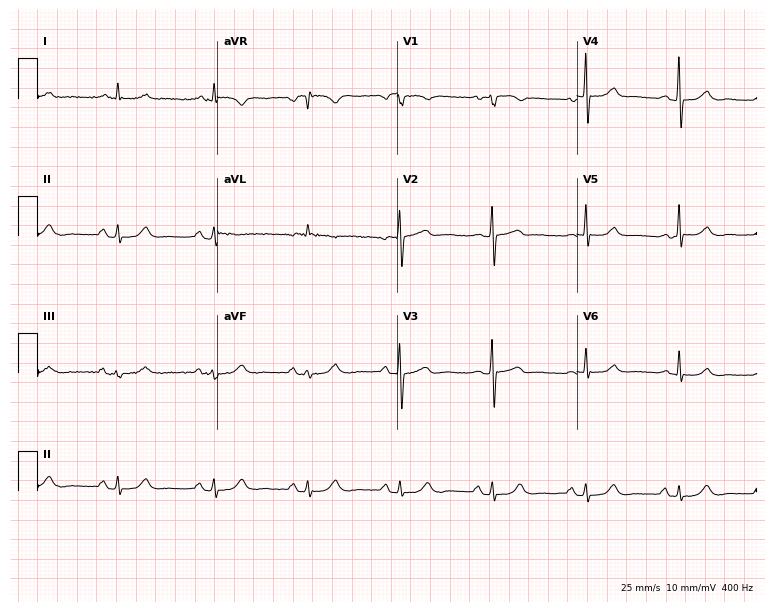
ECG — a 73-year-old male. Screened for six findings — first-degree AV block, right bundle branch block, left bundle branch block, sinus bradycardia, atrial fibrillation, sinus tachycardia — none is recorded. Only these six findings were labelled.